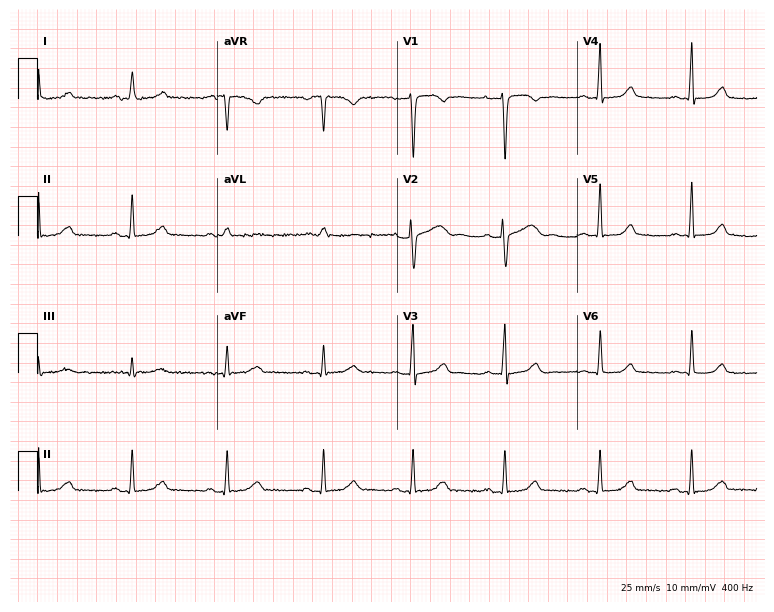
Standard 12-lead ECG recorded from a female, 32 years old (7.3-second recording at 400 Hz). Read as a normal ECG.